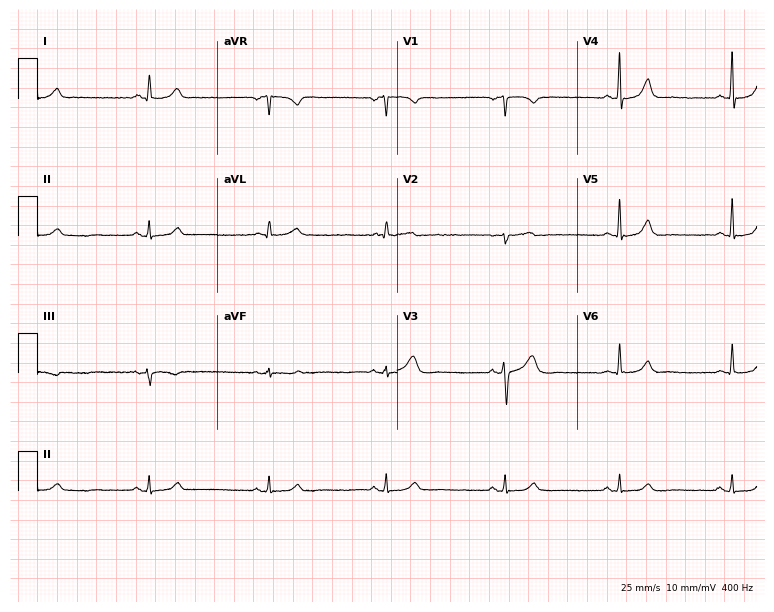
12-lead ECG from a female, 49 years old. Screened for six findings — first-degree AV block, right bundle branch block, left bundle branch block, sinus bradycardia, atrial fibrillation, sinus tachycardia — none is recorded.